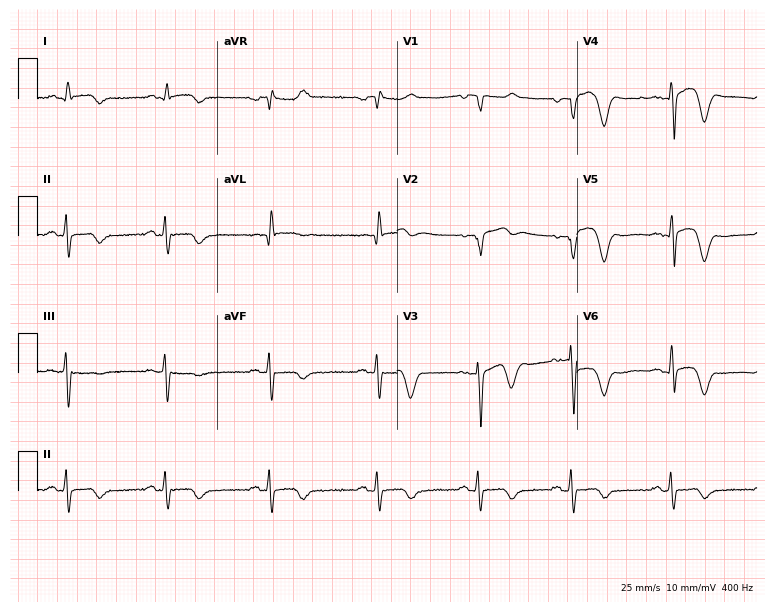
12-lead ECG (7.3-second recording at 400 Hz) from a male, 75 years old. Screened for six findings — first-degree AV block, right bundle branch block, left bundle branch block, sinus bradycardia, atrial fibrillation, sinus tachycardia — none is recorded. Only these six findings were labelled.